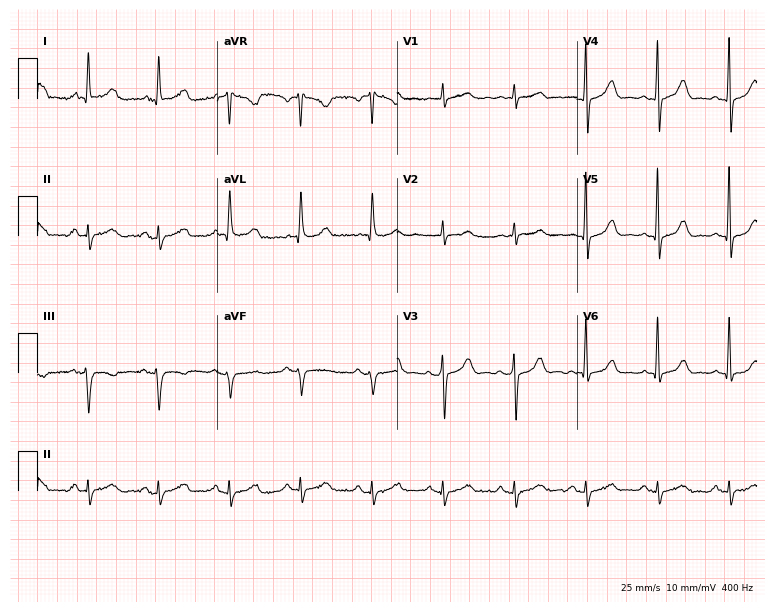
12-lead ECG (7.3-second recording at 400 Hz) from a 76-year-old male. Screened for six findings — first-degree AV block, right bundle branch block, left bundle branch block, sinus bradycardia, atrial fibrillation, sinus tachycardia — none is recorded. Only these six findings were labelled.